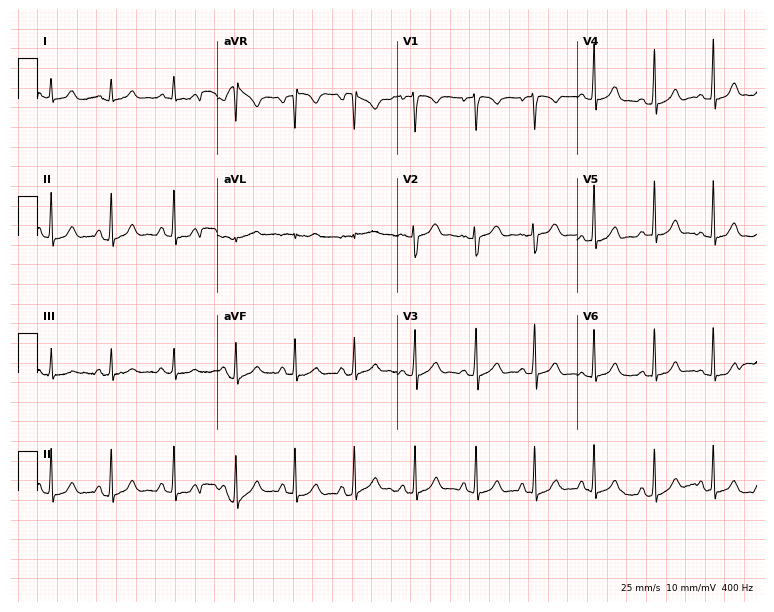
Standard 12-lead ECG recorded from a 17-year-old female (7.3-second recording at 400 Hz). Read as a normal ECG.